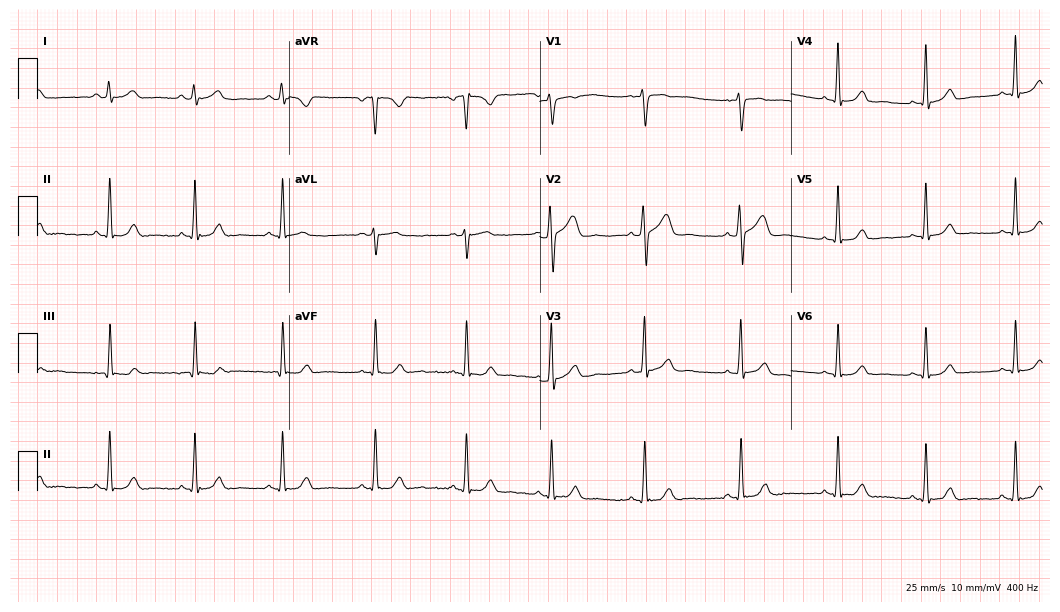
12-lead ECG from a male patient, 29 years old. Recorded interpretation: within normal limits.